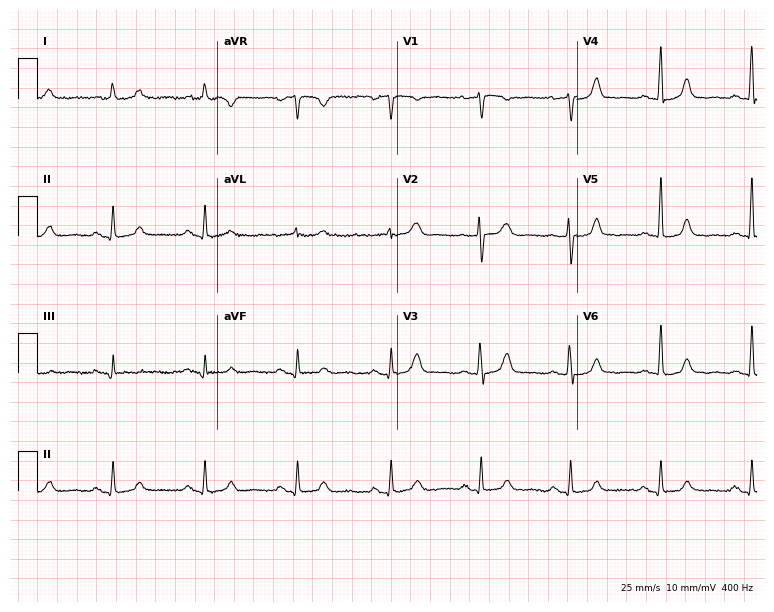
Electrocardiogram (7.3-second recording at 400 Hz), a female, 76 years old. Of the six screened findings (first-degree AV block, right bundle branch block (RBBB), left bundle branch block (LBBB), sinus bradycardia, atrial fibrillation (AF), sinus tachycardia), none is recorded.